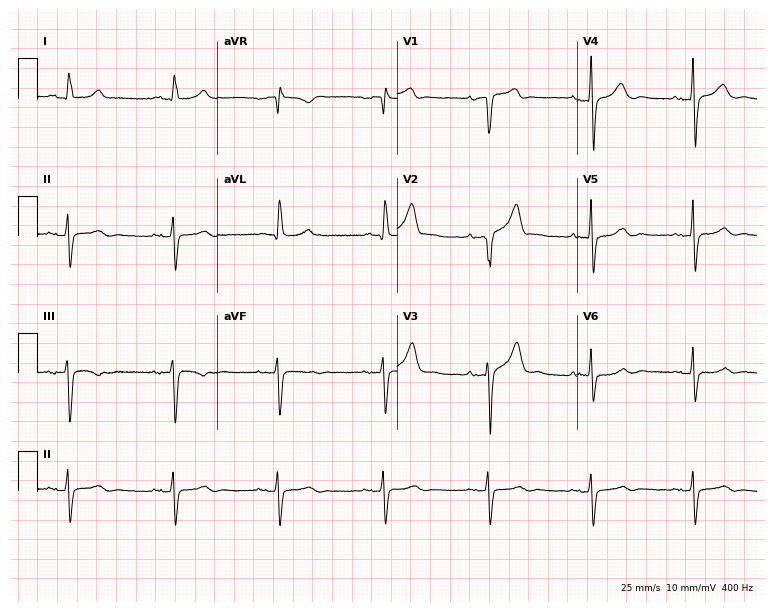
Standard 12-lead ECG recorded from a man, 76 years old (7.3-second recording at 400 Hz). None of these six findings is recorded: first-degree AV block, right bundle branch block, left bundle branch block, sinus bradycardia, atrial fibrillation, sinus tachycardia. Only these six findings were labelled.